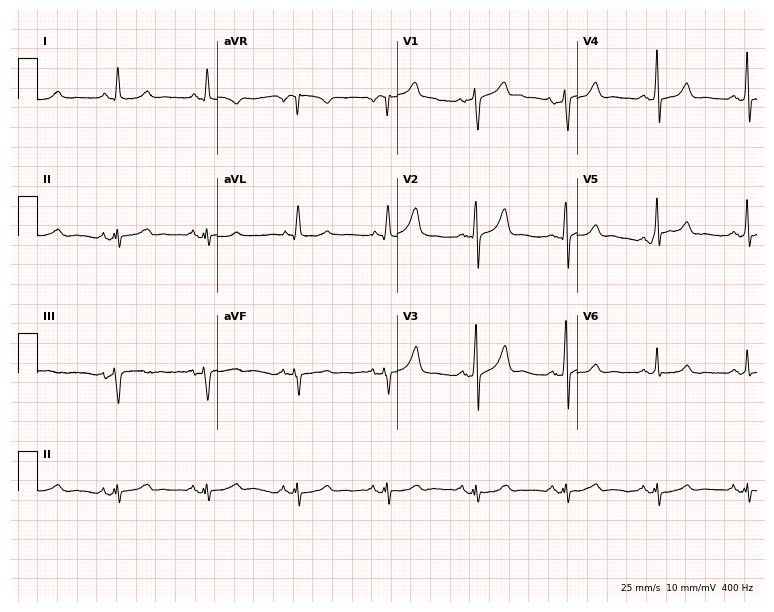
Standard 12-lead ECG recorded from a man, 77 years old. None of these six findings is recorded: first-degree AV block, right bundle branch block, left bundle branch block, sinus bradycardia, atrial fibrillation, sinus tachycardia. Findings outside these six are not listed.